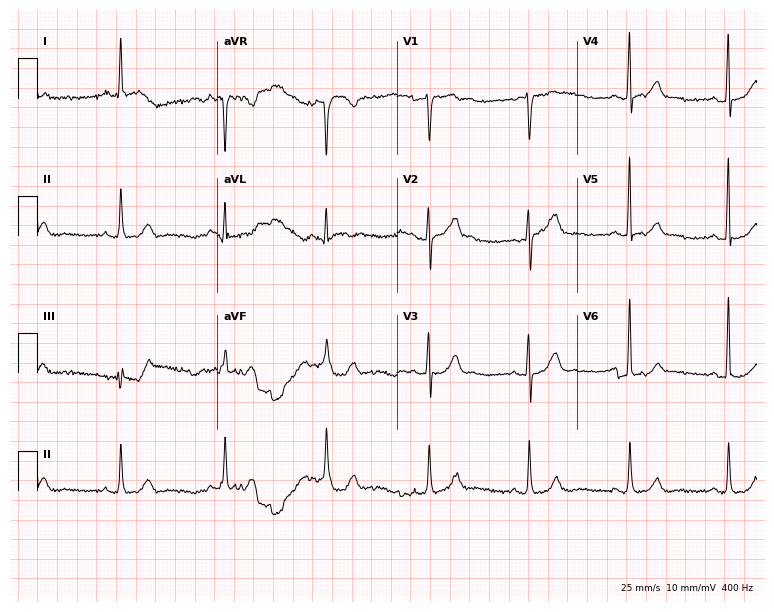
12-lead ECG from a woman, 77 years old. Screened for six findings — first-degree AV block, right bundle branch block (RBBB), left bundle branch block (LBBB), sinus bradycardia, atrial fibrillation (AF), sinus tachycardia — none is recorded.